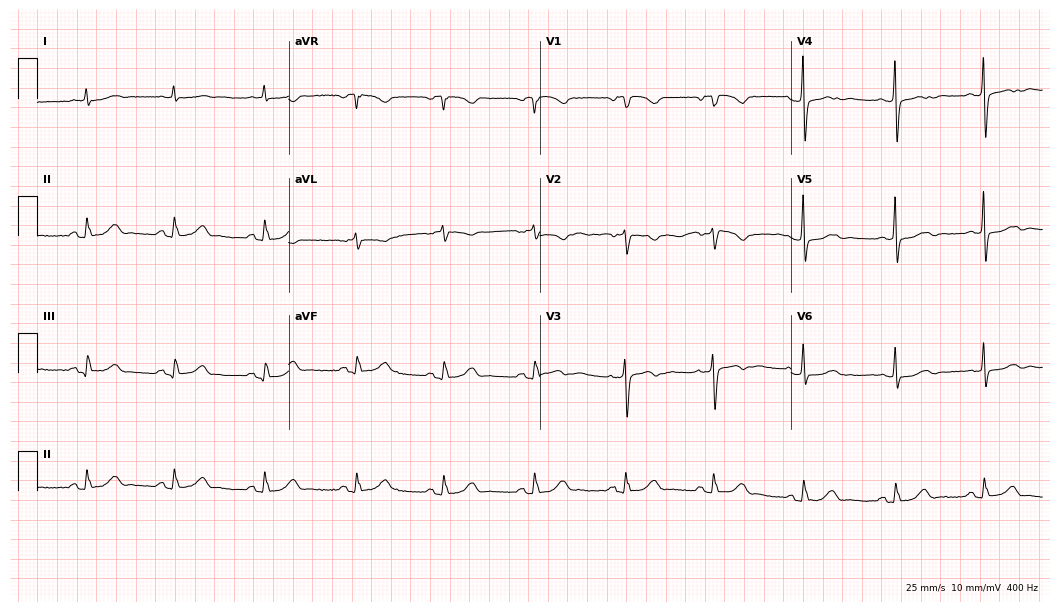
Electrocardiogram (10.2-second recording at 400 Hz), an 80-year-old female. Overall reading on record: normal ECG.